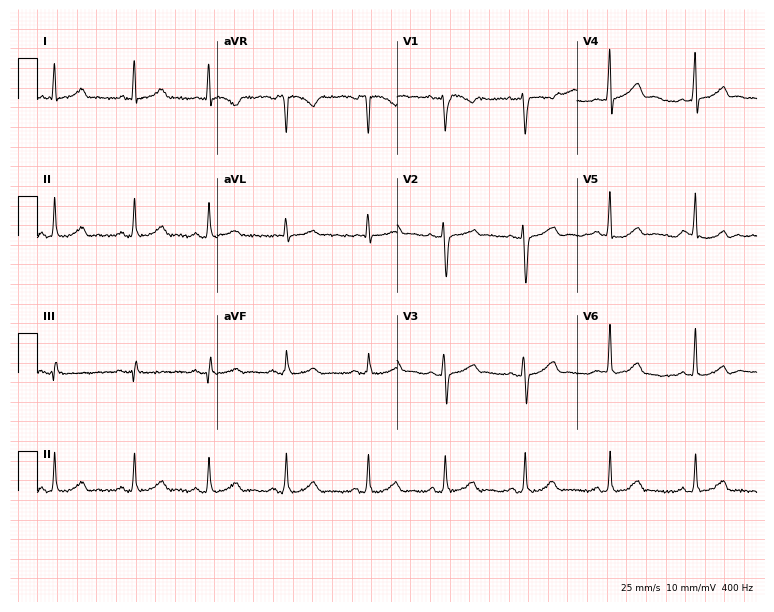
12-lead ECG from a female, 39 years old. No first-degree AV block, right bundle branch block (RBBB), left bundle branch block (LBBB), sinus bradycardia, atrial fibrillation (AF) or sinus tachycardia recorded for this tracing.